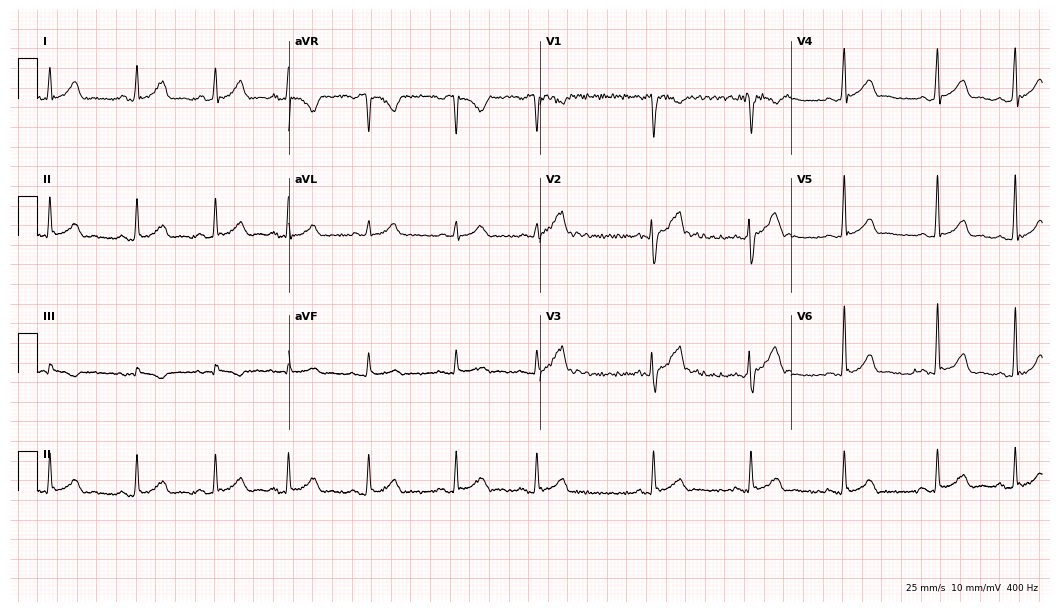
Standard 12-lead ECG recorded from a man, 29 years old (10.2-second recording at 400 Hz). Read as a normal ECG.